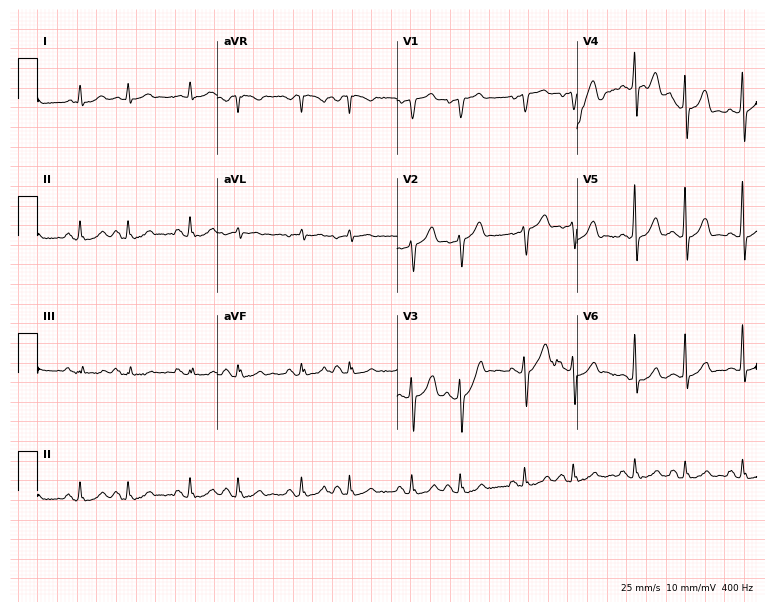
ECG (7.3-second recording at 400 Hz) — a 71-year-old male patient. Screened for six findings — first-degree AV block, right bundle branch block (RBBB), left bundle branch block (LBBB), sinus bradycardia, atrial fibrillation (AF), sinus tachycardia — none is recorded. Findings outside these six are not listed.